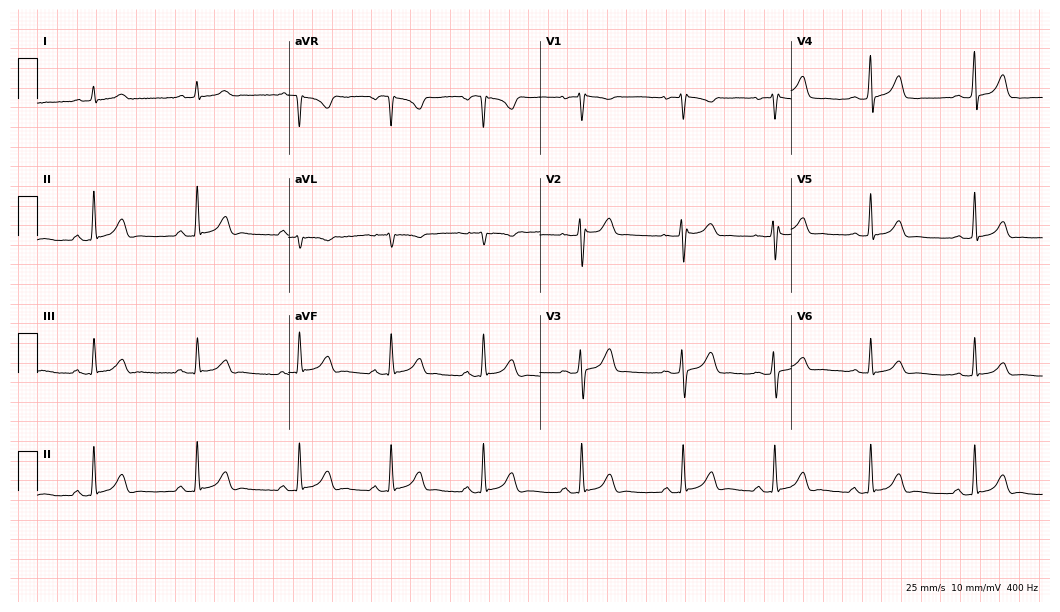
Standard 12-lead ECG recorded from a female, 36 years old. None of these six findings is recorded: first-degree AV block, right bundle branch block (RBBB), left bundle branch block (LBBB), sinus bradycardia, atrial fibrillation (AF), sinus tachycardia. Only these six findings were labelled.